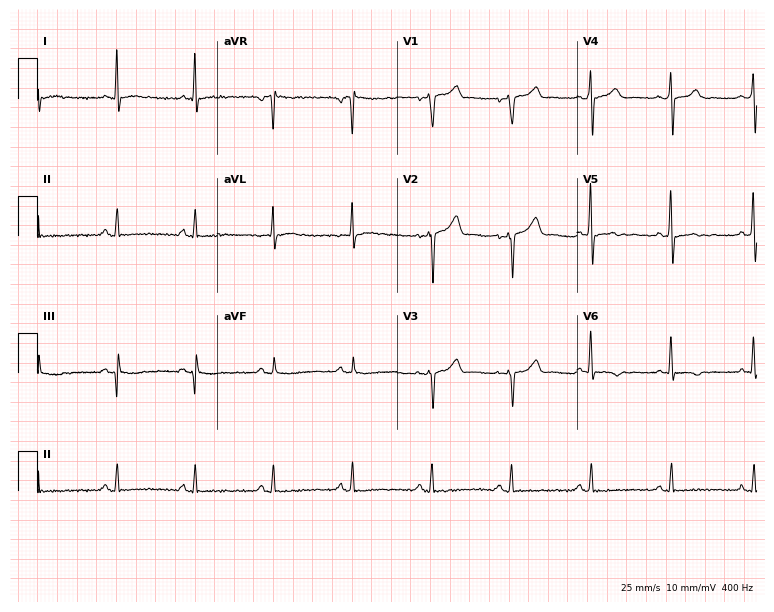
Resting 12-lead electrocardiogram (7.3-second recording at 400 Hz). Patient: a man, 55 years old. Read as a normal ECG.